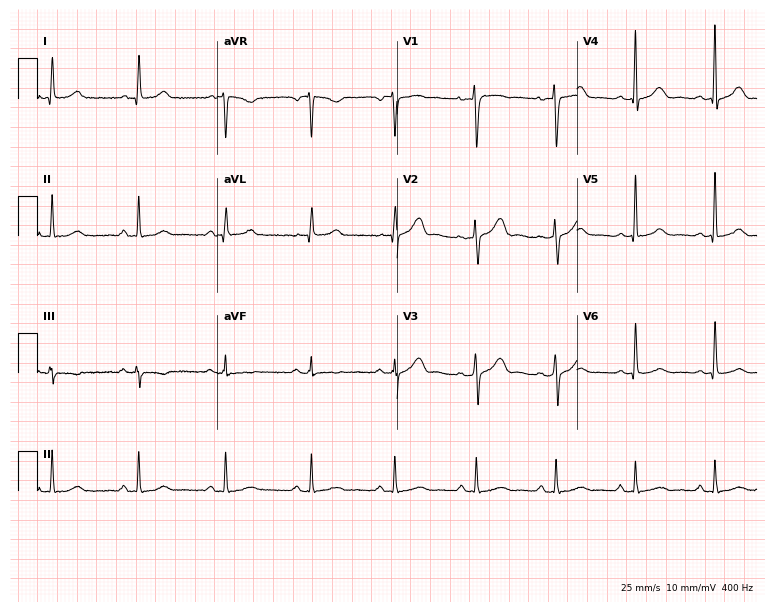
Standard 12-lead ECG recorded from a woman, 47 years old. None of these six findings is recorded: first-degree AV block, right bundle branch block (RBBB), left bundle branch block (LBBB), sinus bradycardia, atrial fibrillation (AF), sinus tachycardia.